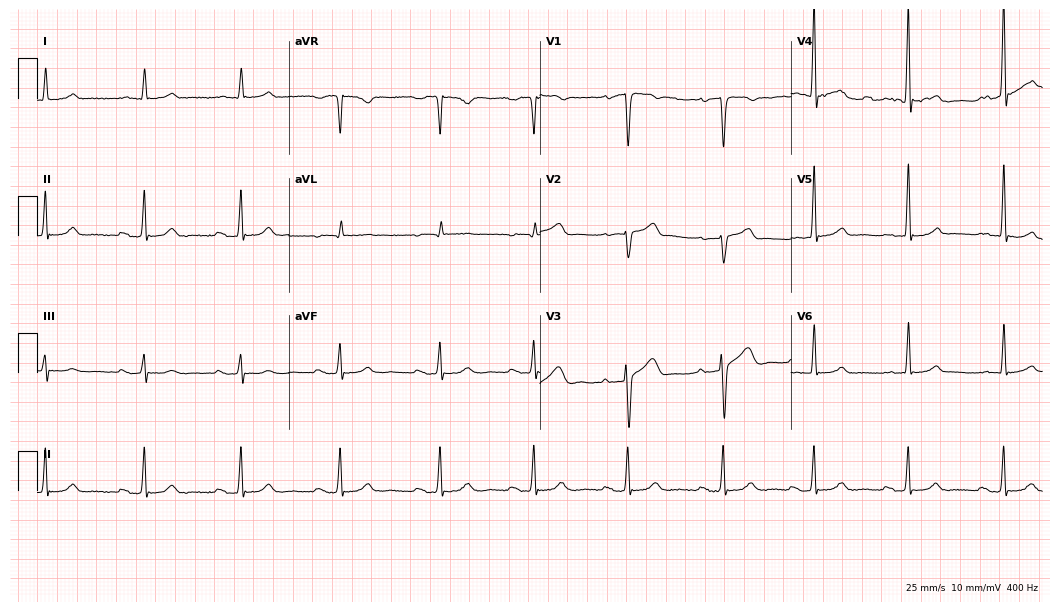
12-lead ECG (10.2-second recording at 400 Hz) from a 64-year-old male patient. Screened for six findings — first-degree AV block, right bundle branch block, left bundle branch block, sinus bradycardia, atrial fibrillation, sinus tachycardia — none is recorded. Other findings, if any, are not listed.